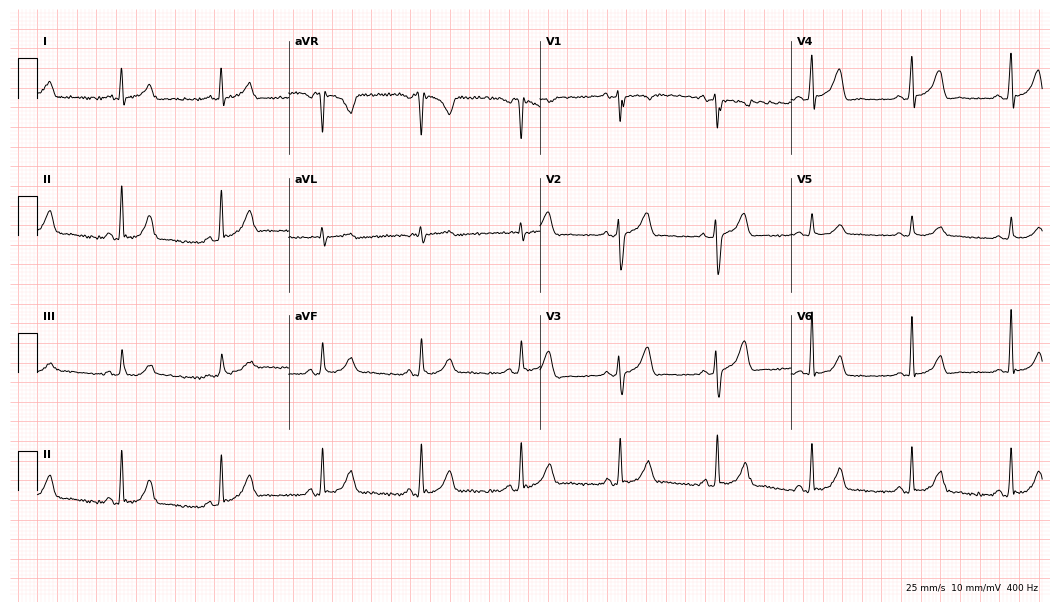
12-lead ECG from a male patient, 48 years old (10.2-second recording at 400 Hz). Recorded interpretation: within normal limits.